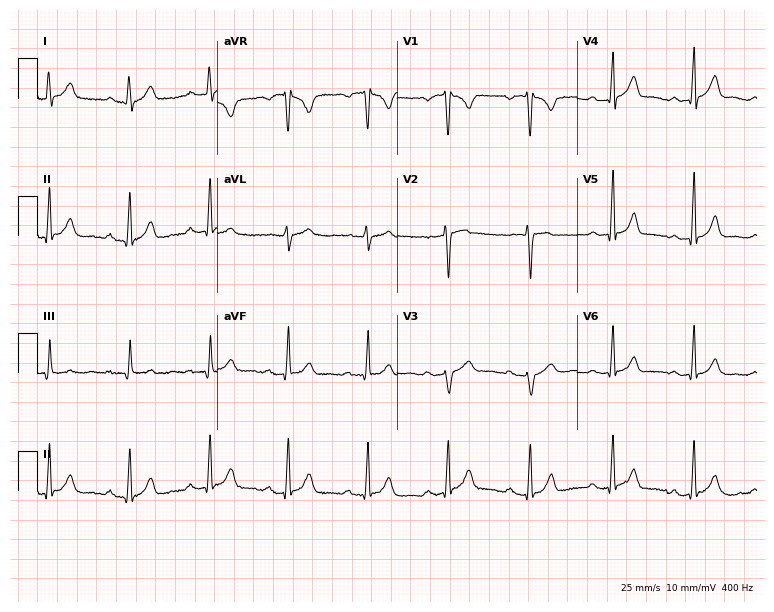
Electrocardiogram, a 46-year-old male. Overall reading on record: normal ECG.